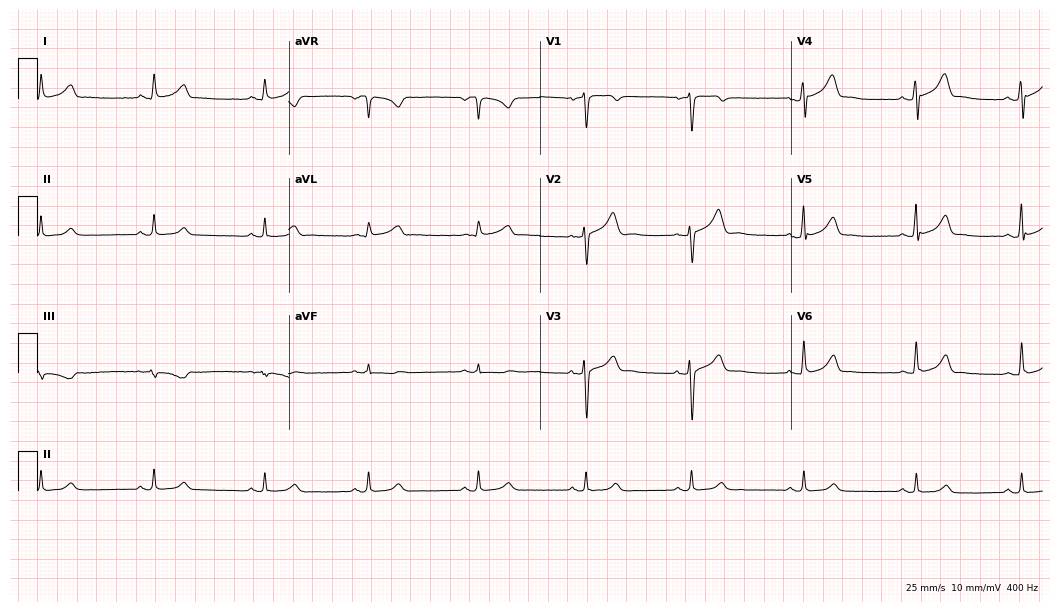
Electrocardiogram (10.2-second recording at 400 Hz), a male, 42 years old. Overall reading on record: normal ECG.